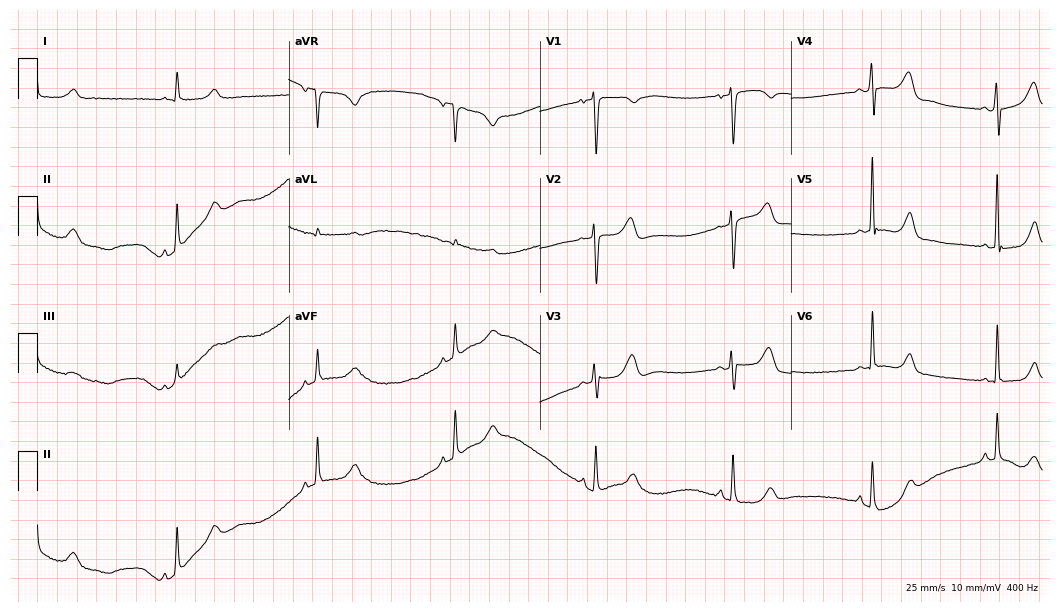
ECG (10.2-second recording at 400 Hz) — a male, 77 years old. Screened for six findings — first-degree AV block, right bundle branch block, left bundle branch block, sinus bradycardia, atrial fibrillation, sinus tachycardia — none is recorded.